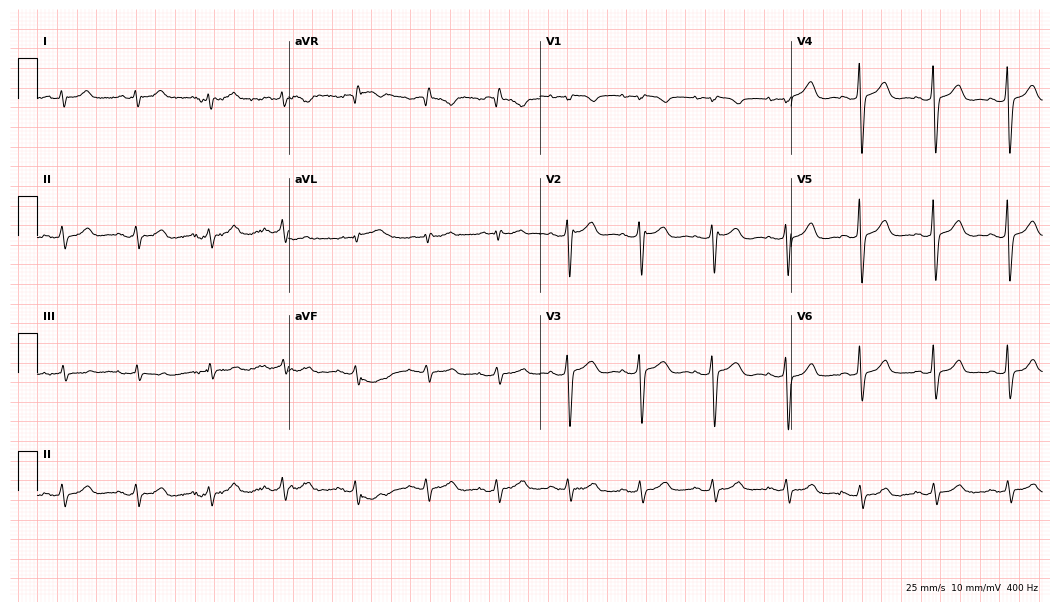
Resting 12-lead electrocardiogram (10.2-second recording at 400 Hz). Patient: a female, 49 years old. None of these six findings is recorded: first-degree AV block, right bundle branch block, left bundle branch block, sinus bradycardia, atrial fibrillation, sinus tachycardia. Findings outside these six are not listed.